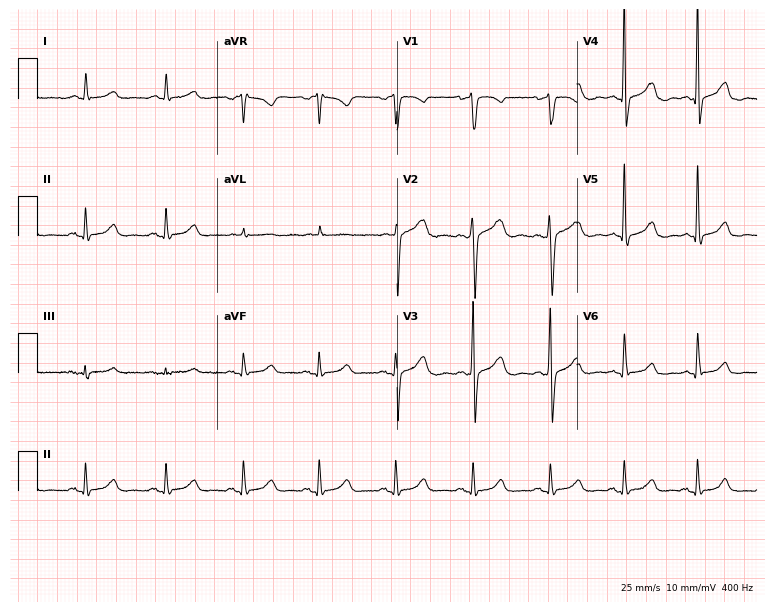
Electrocardiogram (7.3-second recording at 400 Hz), a female, 61 years old. Of the six screened findings (first-degree AV block, right bundle branch block, left bundle branch block, sinus bradycardia, atrial fibrillation, sinus tachycardia), none is recorded.